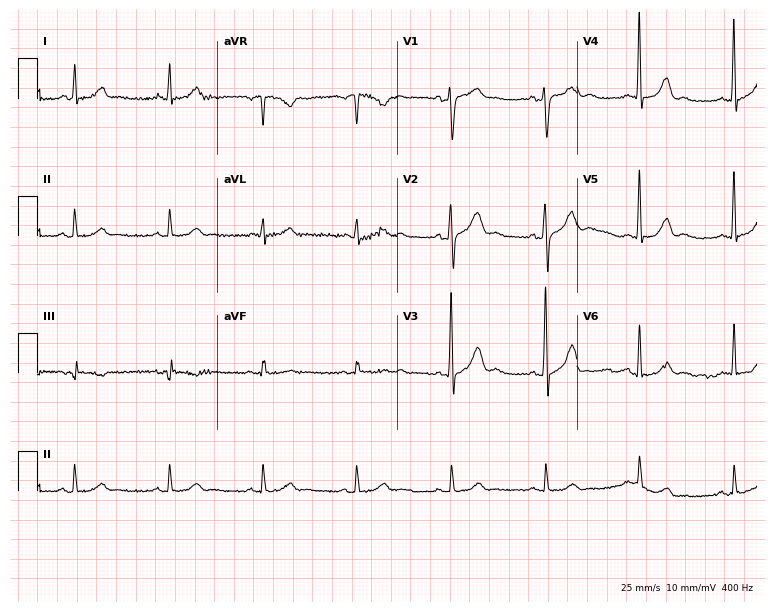
12-lead ECG from a 58-year-old man. Labelled as a normal ECG.